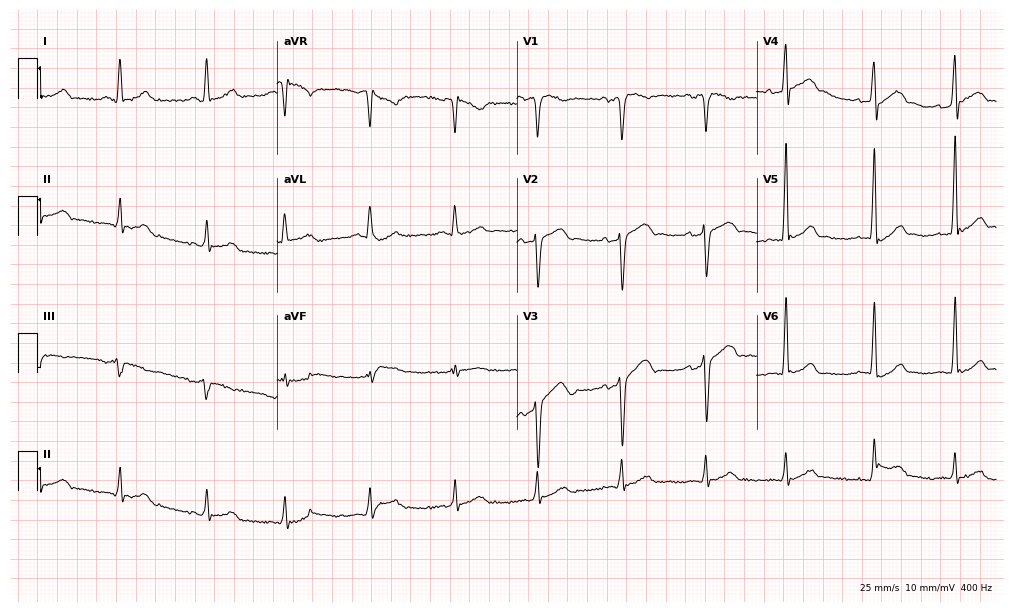
Resting 12-lead electrocardiogram. Patient: a male, 24 years old. Read as a normal ECG.